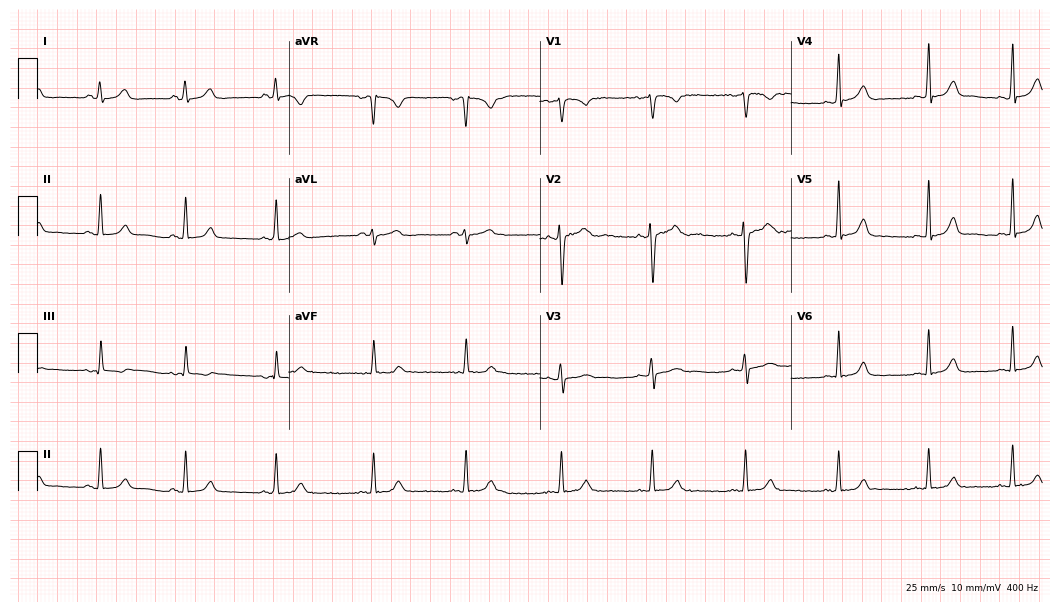
ECG (10.2-second recording at 400 Hz) — a 33-year-old female patient. Labelled as a normal ECG.